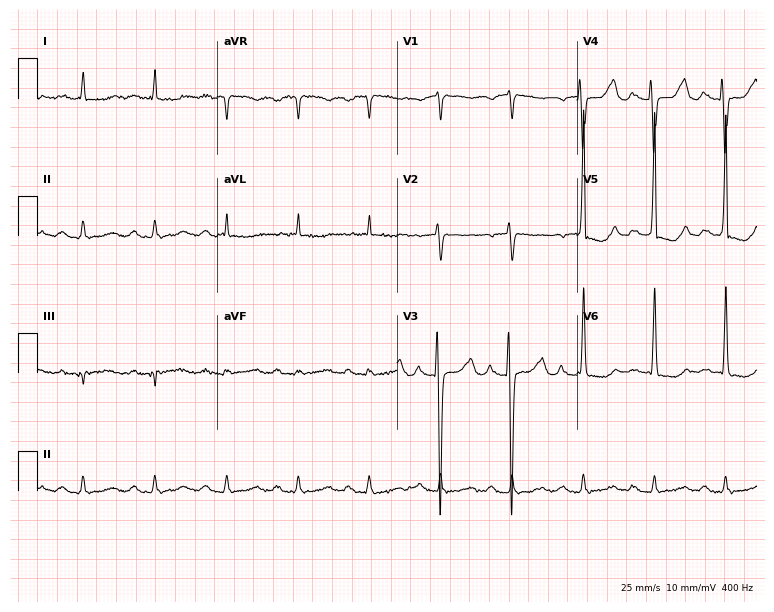
Standard 12-lead ECG recorded from a 52-year-old female patient. The tracing shows first-degree AV block.